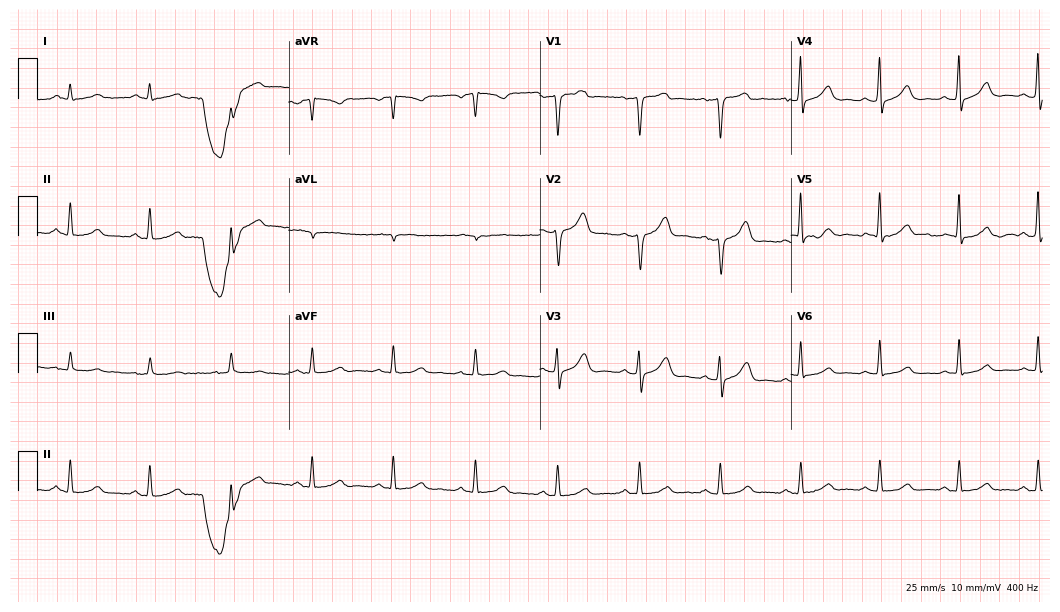
ECG — a 58-year-old male. Labelled as a normal ECG.